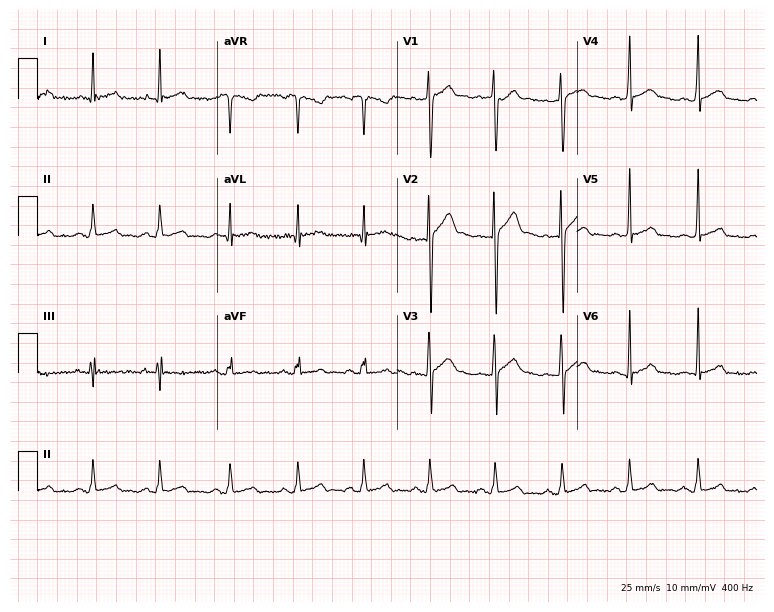
ECG (7.3-second recording at 400 Hz) — a 27-year-old male patient. Screened for six findings — first-degree AV block, right bundle branch block, left bundle branch block, sinus bradycardia, atrial fibrillation, sinus tachycardia — none is recorded.